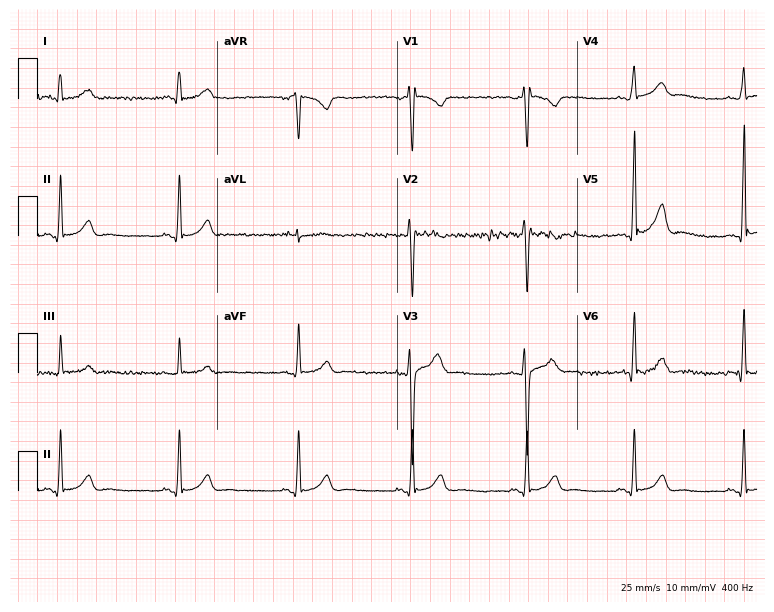
Resting 12-lead electrocardiogram. Patient: a 26-year-old male. None of these six findings is recorded: first-degree AV block, right bundle branch block, left bundle branch block, sinus bradycardia, atrial fibrillation, sinus tachycardia. Findings outside these six are not listed.